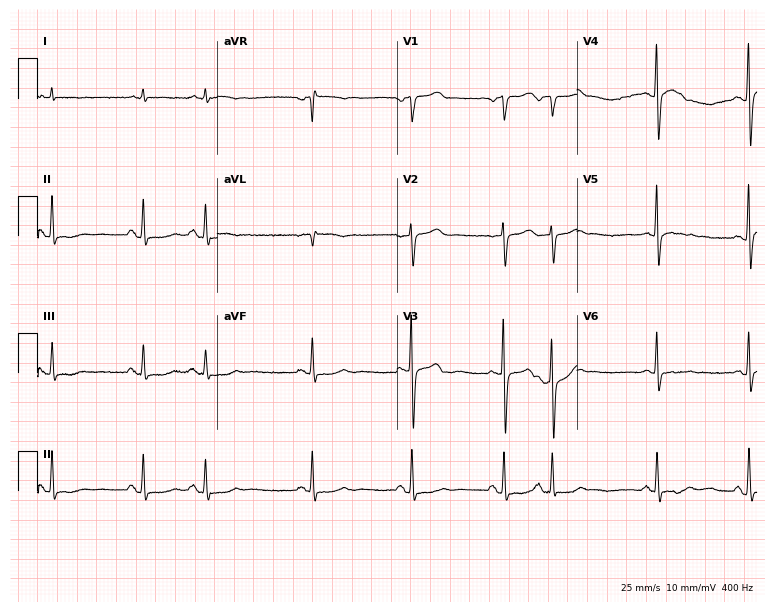
Electrocardiogram (7.3-second recording at 400 Hz), a female patient, 85 years old. Of the six screened findings (first-degree AV block, right bundle branch block, left bundle branch block, sinus bradycardia, atrial fibrillation, sinus tachycardia), none is recorded. Other findings, if any, are not listed.